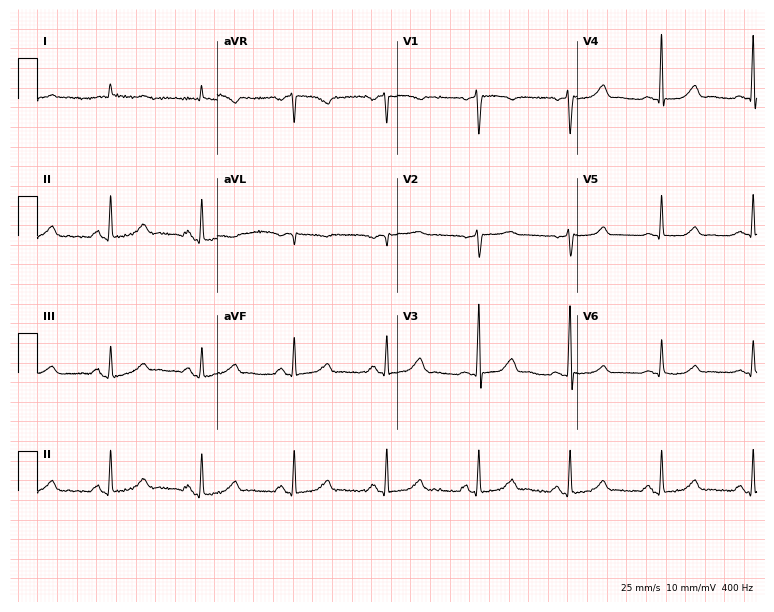
Electrocardiogram (7.3-second recording at 400 Hz), a female patient, 60 years old. Overall reading on record: normal ECG.